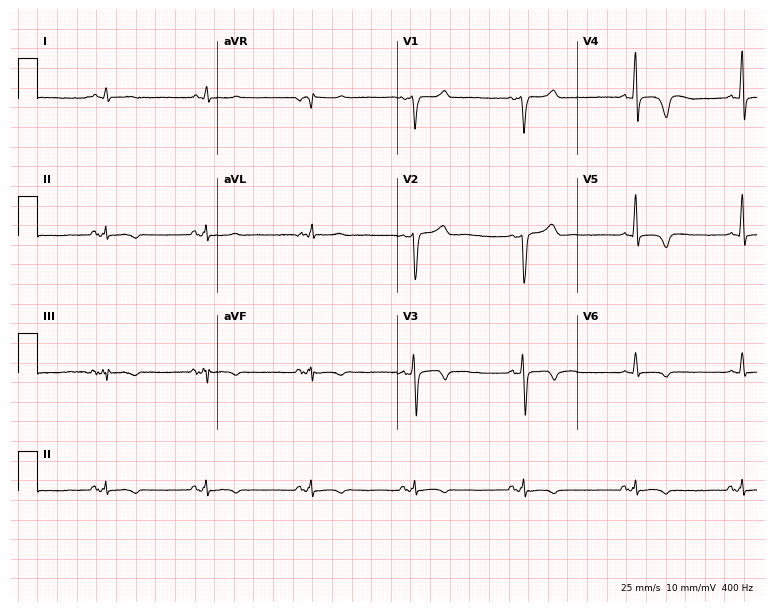
Standard 12-lead ECG recorded from a male patient, 45 years old (7.3-second recording at 400 Hz). None of these six findings is recorded: first-degree AV block, right bundle branch block, left bundle branch block, sinus bradycardia, atrial fibrillation, sinus tachycardia.